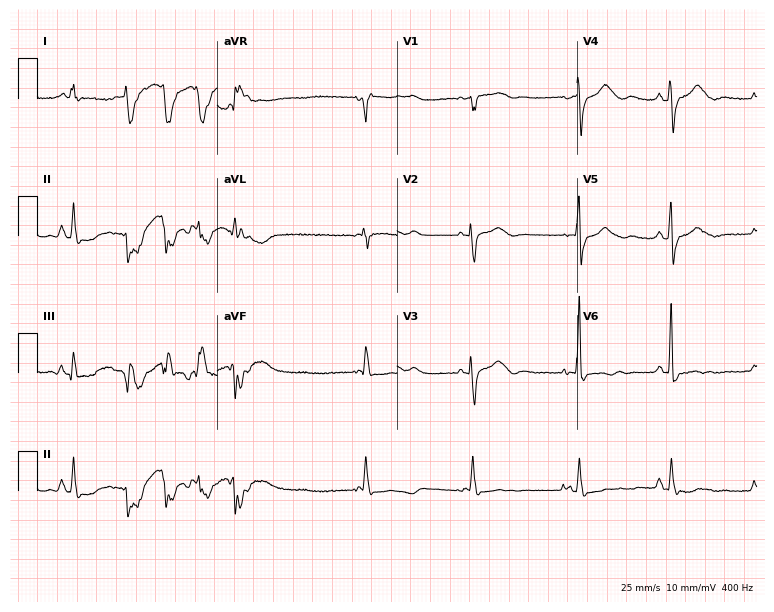
12-lead ECG from a female patient, 77 years old (7.3-second recording at 400 Hz). No first-degree AV block, right bundle branch block, left bundle branch block, sinus bradycardia, atrial fibrillation or sinus tachycardia recorded for this tracing.